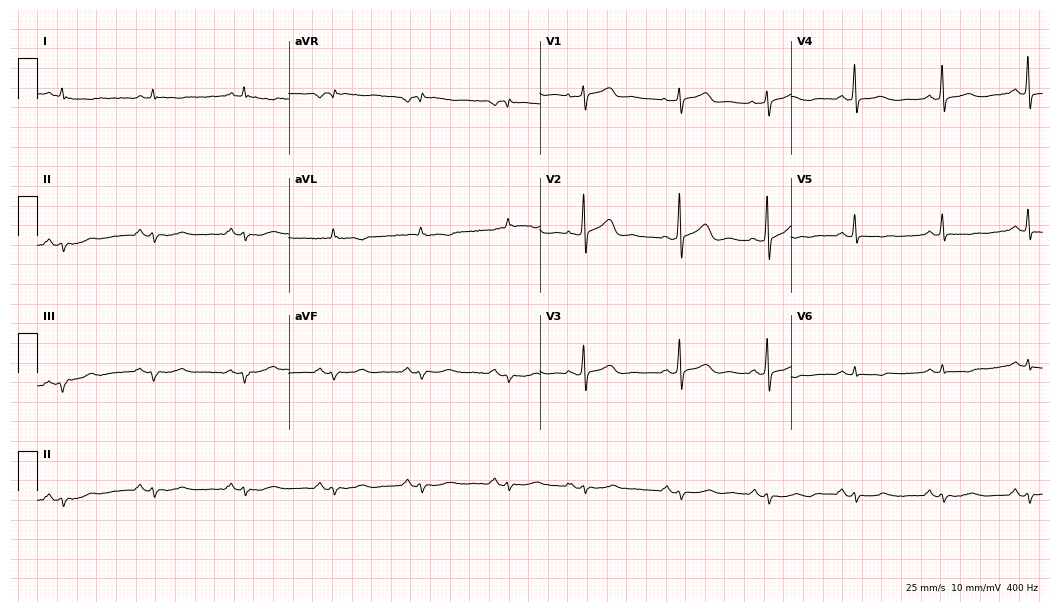
12-lead ECG from a 78-year-old man. Screened for six findings — first-degree AV block, right bundle branch block, left bundle branch block, sinus bradycardia, atrial fibrillation, sinus tachycardia — none is recorded.